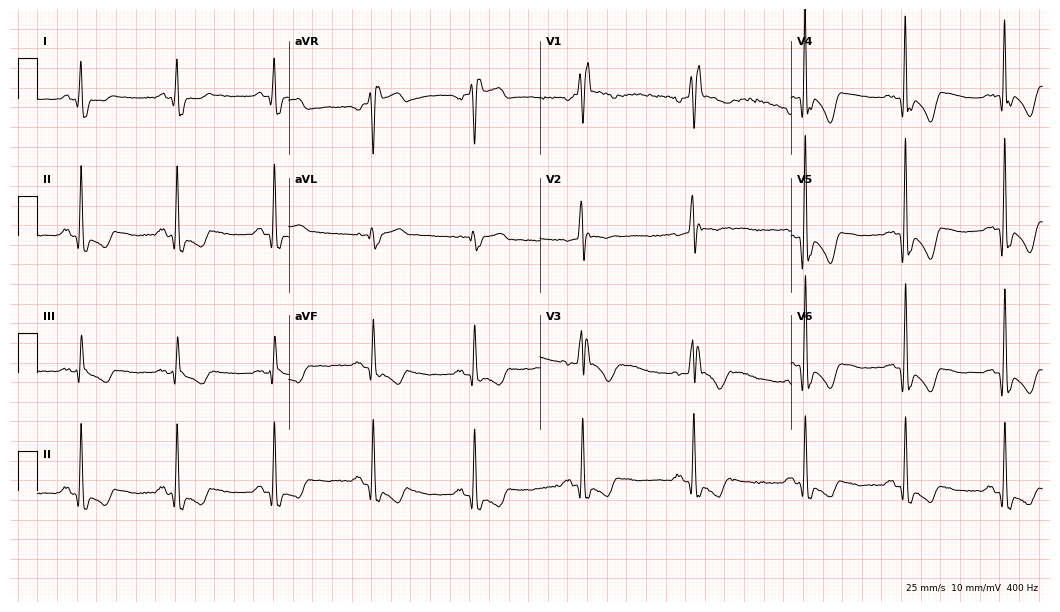
Electrocardiogram (10.2-second recording at 400 Hz), a man, 53 years old. Interpretation includes right bundle branch block (RBBB).